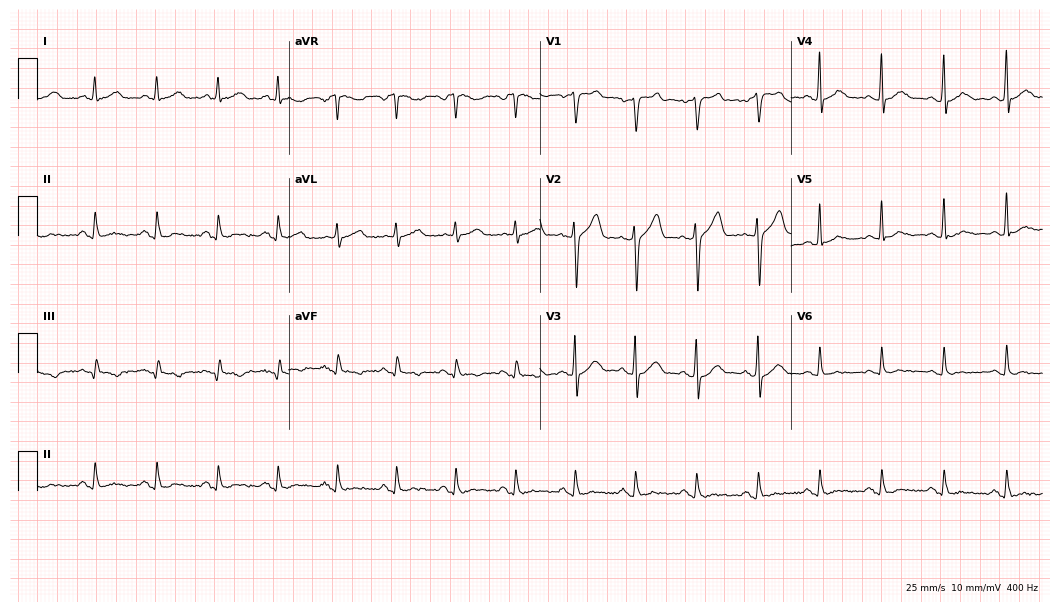
Standard 12-lead ECG recorded from a 62-year-old male (10.2-second recording at 400 Hz). Read as a normal ECG.